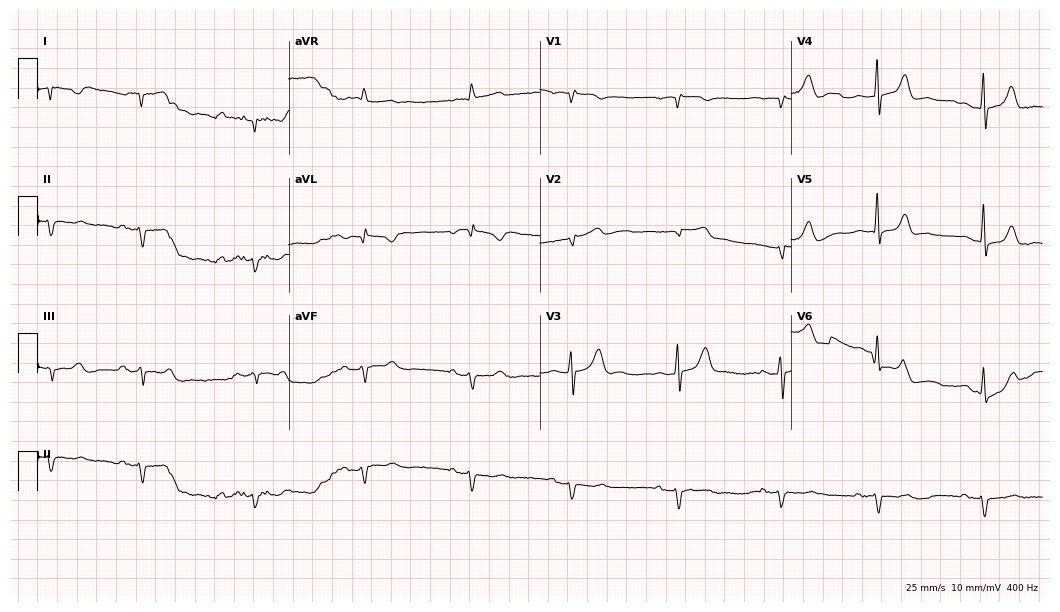
12-lead ECG from a man, 81 years old (10.2-second recording at 400 Hz). No first-degree AV block, right bundle branch block, left bundle branch block, sinus bradycardia, atrial fibrillation or sinus tachycardia recorded for this tracing.